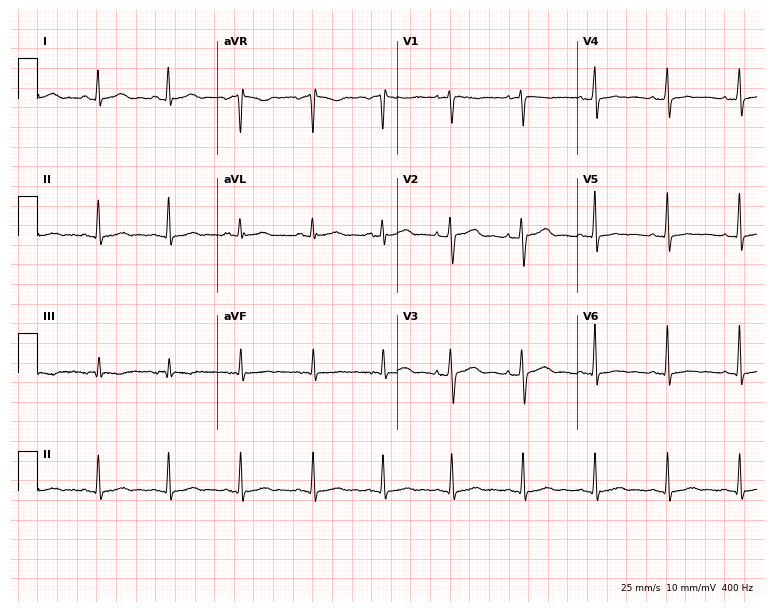
12-lead ECG from a woman, 36 years old (7.3-second recording at 400 Hz). No first-degree AV block, right bundle branch block, left bundle branch block, sinus bradycardia, atrial fibrillation or sinus tachycardia recorded for this tracing.